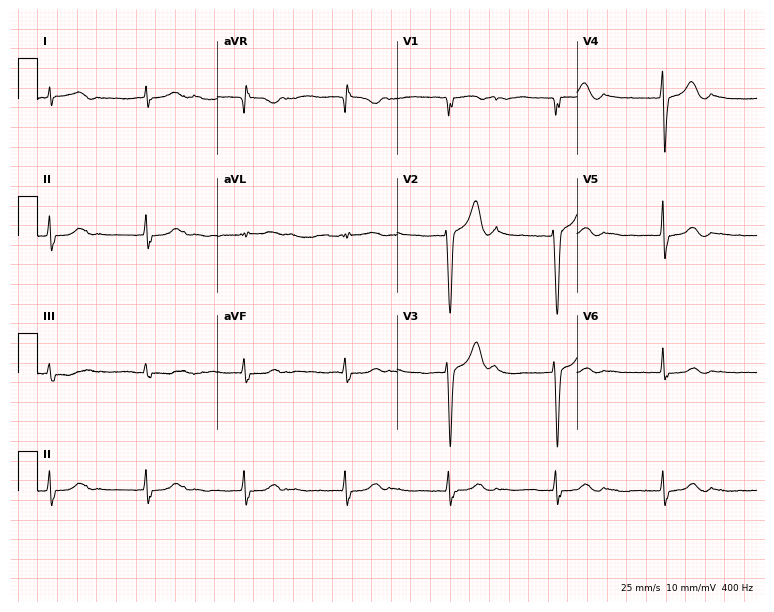
Resting 12-lead electrocardiogram. Patient: a 78-year-old man. None of these six findings is recorded: first-degree AV block, right bundle branch block, left bundle branch block, sinus bradycardia, atrial fibrillation, sinus tachycardia. Findings outside these six are not listed.